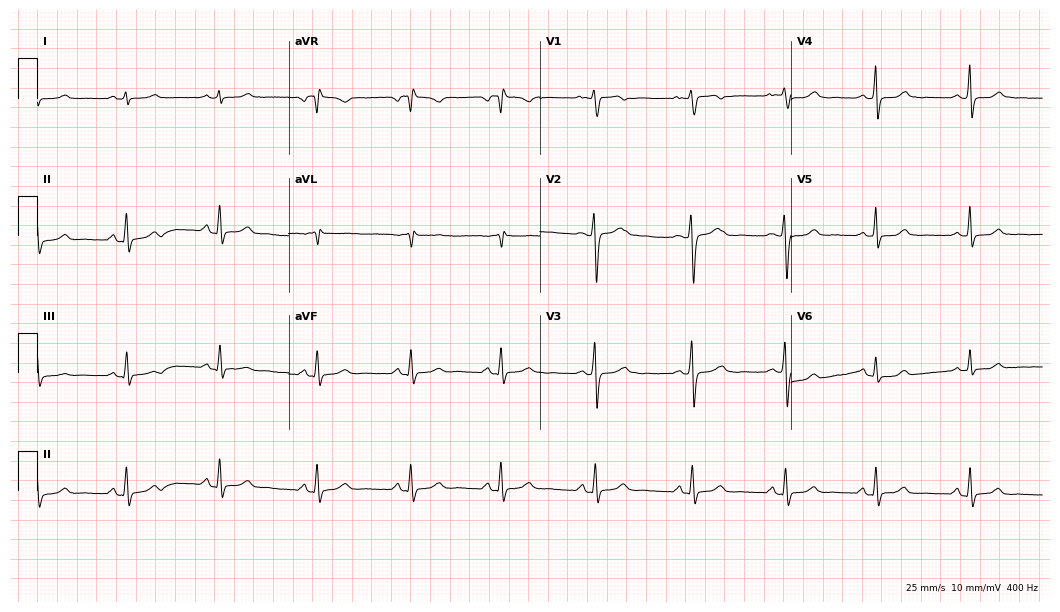
12-lead ECG from a 40-year-old male patient (10.2-second recording at 400 Hz). No first-degree AV block, right bundle branch block, left bundle branch block, sinus bradycardia, atrial fibrillation or sinus tachycardia recorded for this tracing. Findings outside these six are not listed.